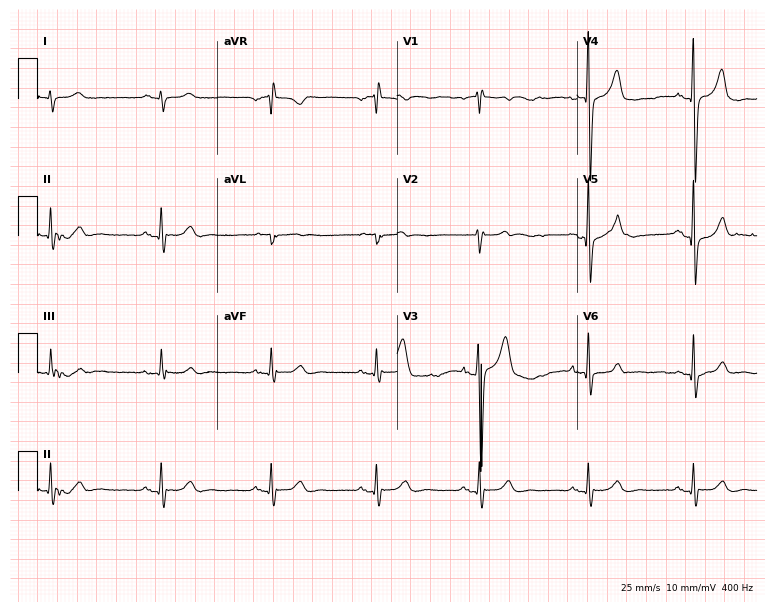
Electrocardiogram (7.3-second recording at 400 Hz), a 50-year-old male patient. Of the six screened findings (first-degree AV block, right bundle branch block (RBBB), left bundle branch block (LBBB), sinus bradycardia, atrial fibrillation (AF), sinus tachycardia), none is recorded. Other findings, if any, are not listed.